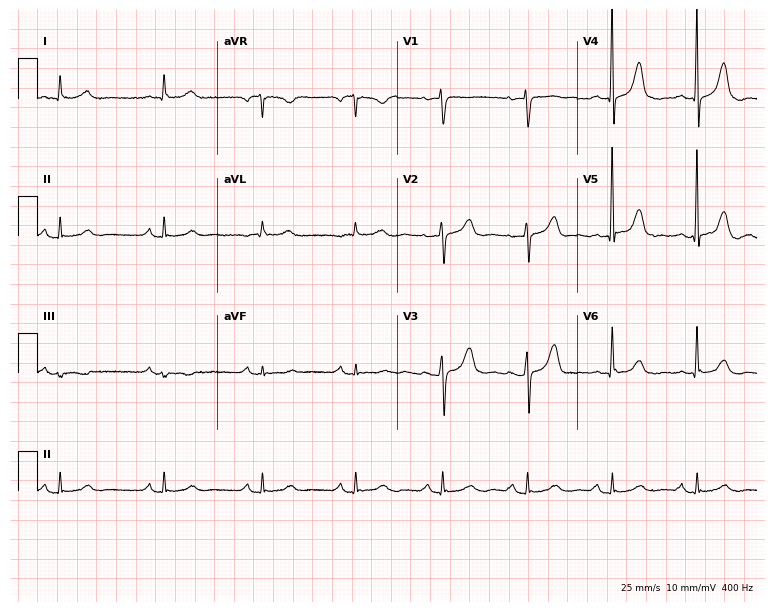
12-lead ECG from a woman, 83 years old. No first-degree AV block, right bundle branch block (RBBB), left bundle branch block (LBBB), sinus bradycardia, atrial fibrillation (AF) or sinus tachycardia recorded for this tracing.